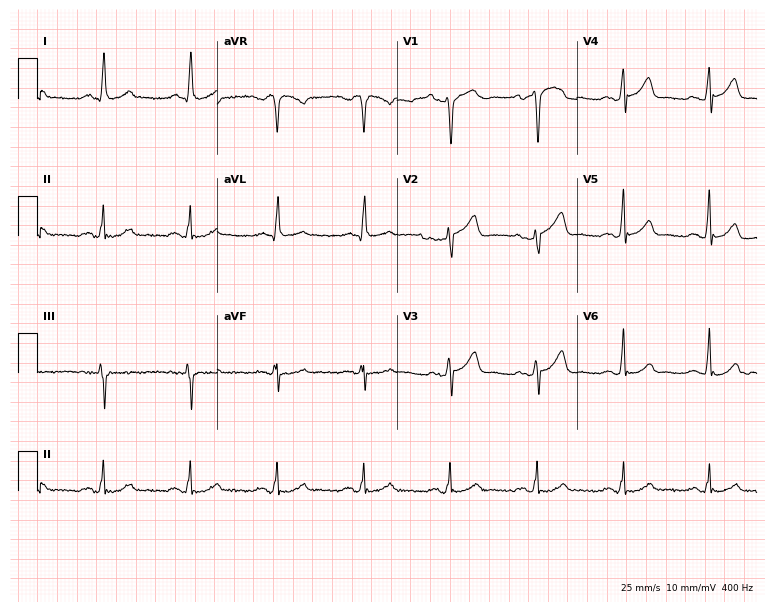
ECG (7.3-second recording at 400 Hz) — a 64-year-old man. Labelled as a normal ECG.